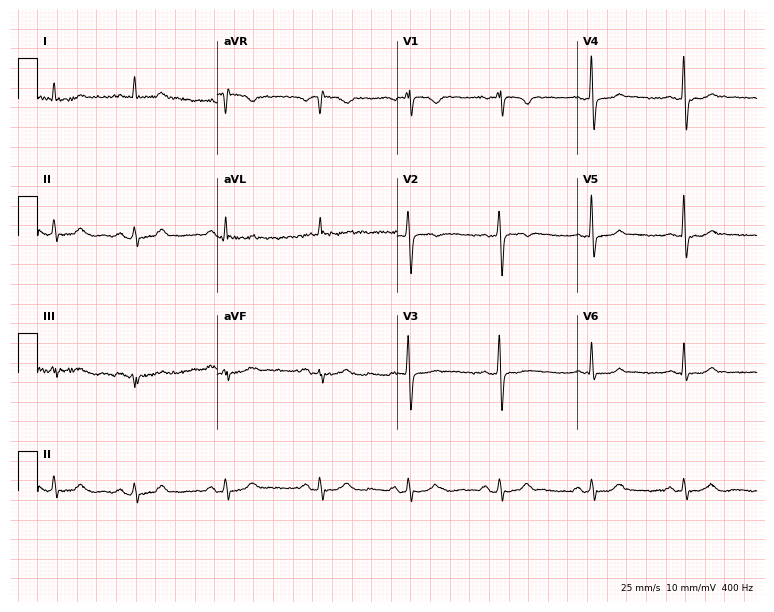
ECG (7.3-second recording at 400 Hz) — a female patient, 57 years old. Screened for six findings — first-degree AV block, right bundle branch block (RBBB), left bundle branch block (LBBB), sinus bradycardia, atrial fibrillation (AF), sinus tachycardia — none is recorded.